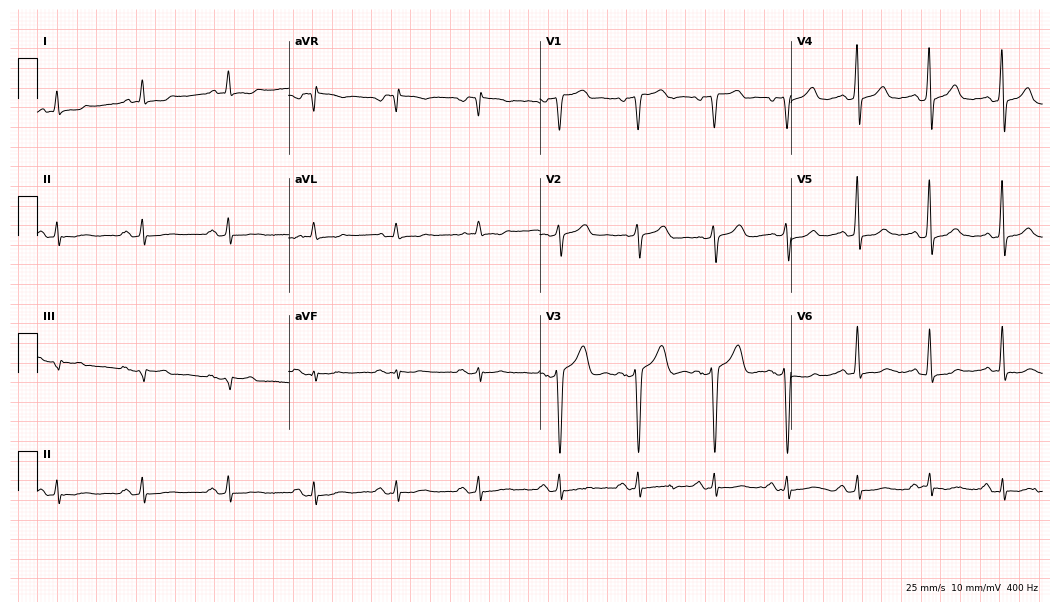
12-lead ECG from a 38-year-old male. Screened for six findings — first-degree AV block, right bundle branch block (RBBB), left bundle branch block (LBBB), sinus bradycardia, atrial fibrillation (AF), sinus tachycardia — none is recorded. Only these six findings were labelled.